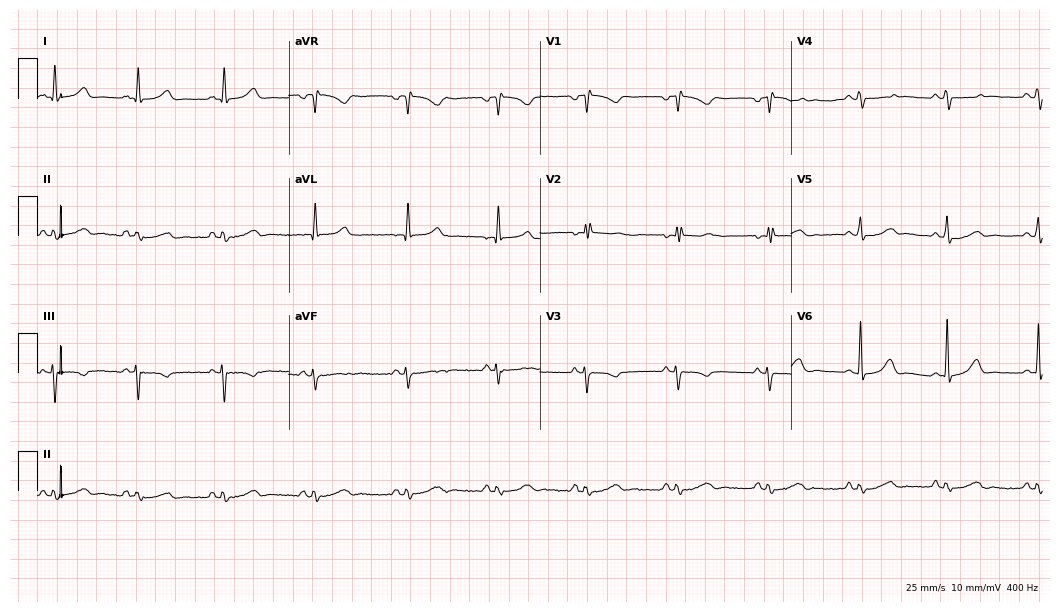
12-lead ECG (10.2-second recording at 400 Hz) from a female patient, 30 years old. Screened for six findings — first-degree AV block, right bundle branch block, left bundle branch block, sinus bradycardia, atrial fibrillation, sinus tachycardia — none is recorded.